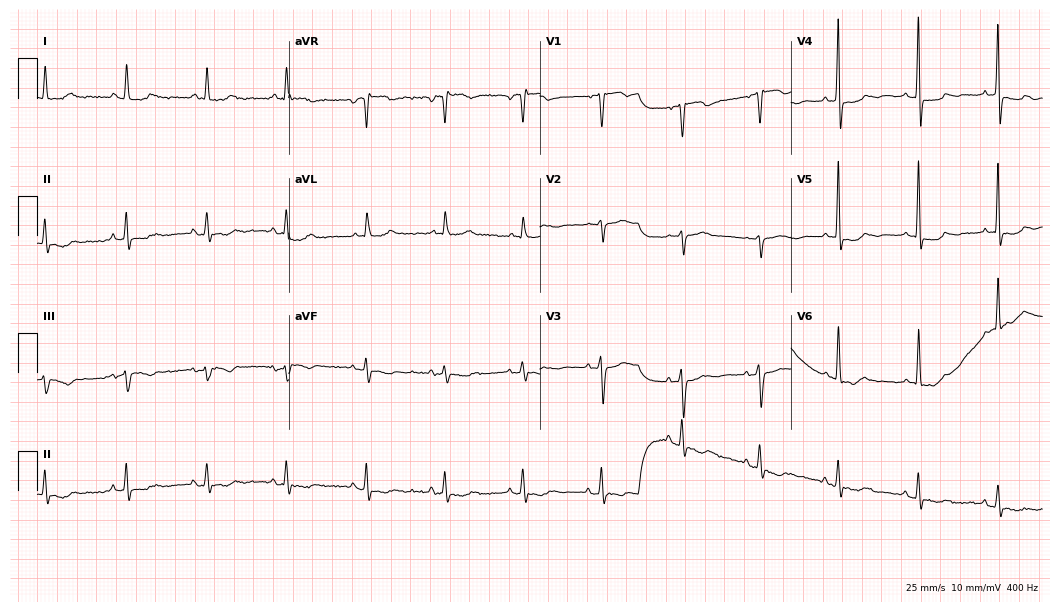
ECG — an 82-year-old woman. Screened for six findings — first-degree AV block, right bundle branch block (RBBB), left bundle branch block (LBBB), sinus bradycardia, atrial fibrillation (AF), sinus tachycardia — none is recorded.